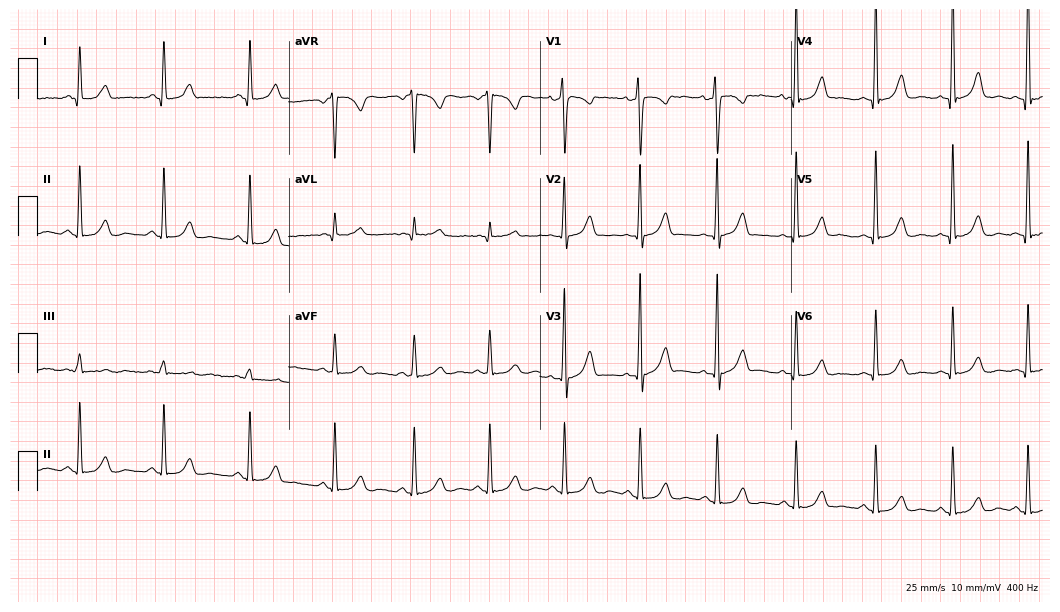
Standard 12-lead ECG recorded from a female patient, 36 years old (10.2-second recording at 400 Hz). Read as a normal ECG.